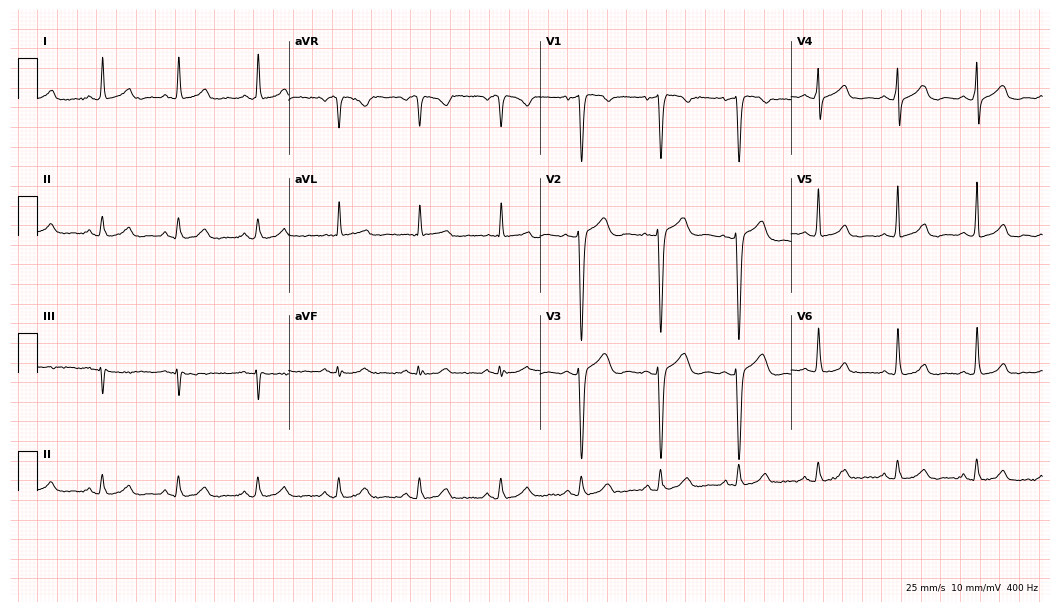
ECG (10.2-second recording at 400 Hz) — a woman, 48 years old. Labelled as a normal ECG.